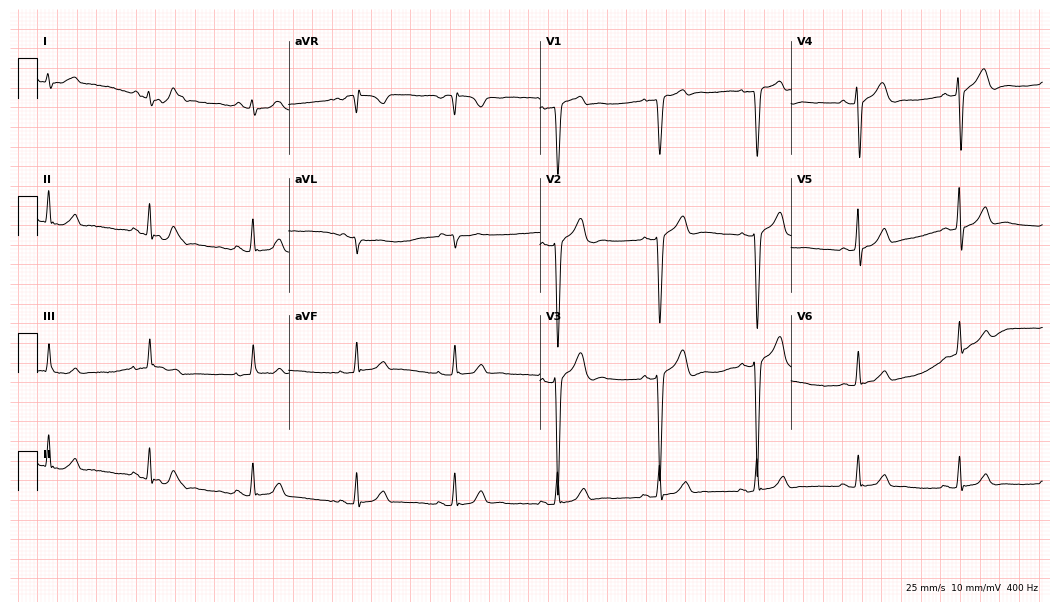
12-lead ECG from a male patient, 31 years old. No first-degree AV block, right bundle branch block, left bundle branch block, sinus bradycardia, atrial fibrillation or sinus tachycardia recorded for this tracing. Only these six findings were labelled.